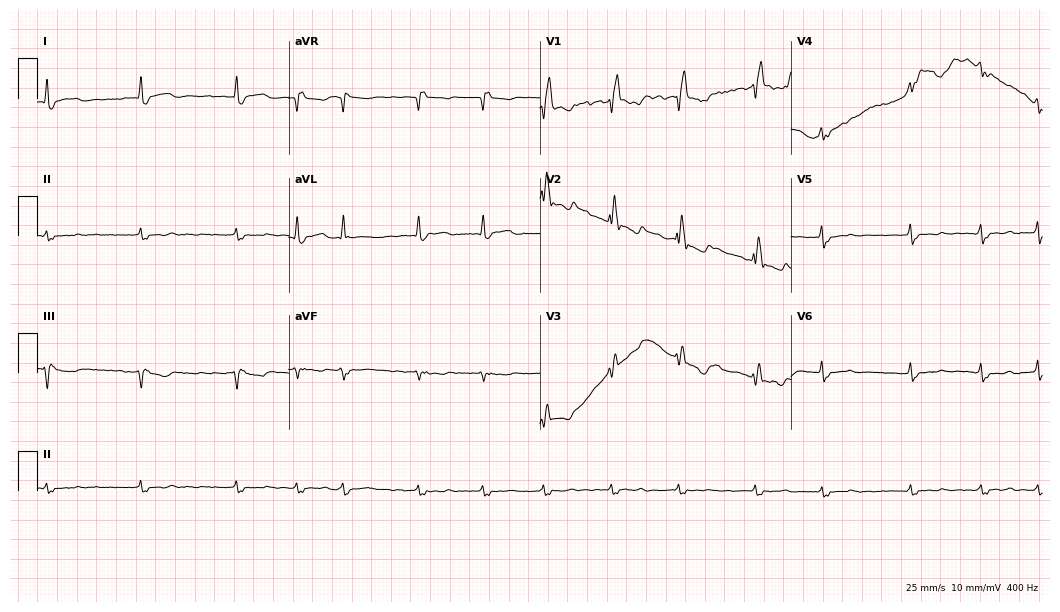
ECG — a male patient, 74 years old. Findings include right bundle branch block, atrial fibrillation.